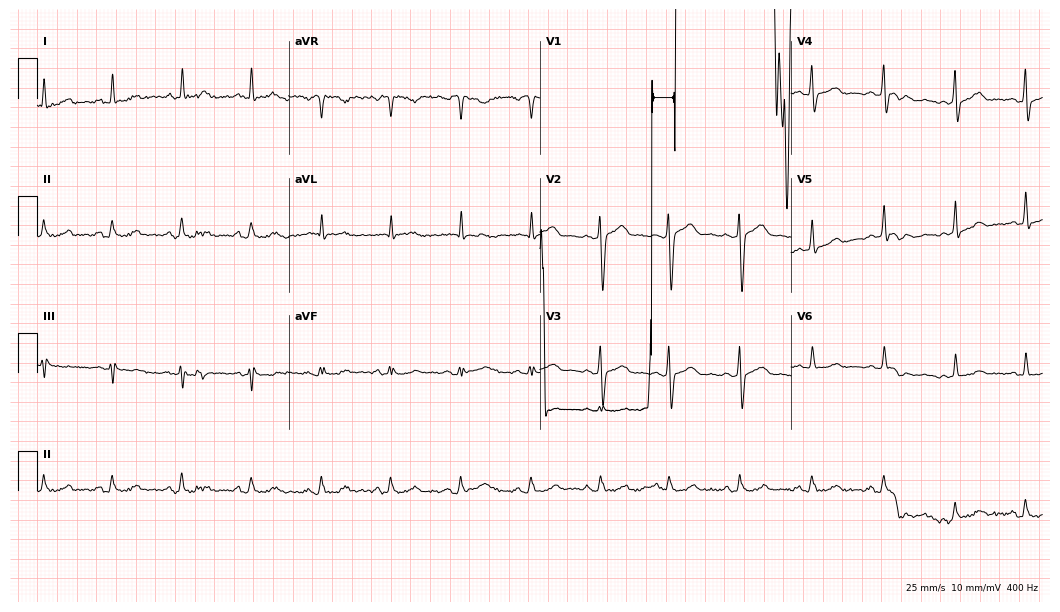
ECG (10.2-second recording at 400 Hz) — a male patient, 37 years old. Screened for six findings — first-degree AV block, right bundle branch block, left bundle branch block, sinus bradycardia, atrial fibrillation, sinus tachycardia — none is recorded.